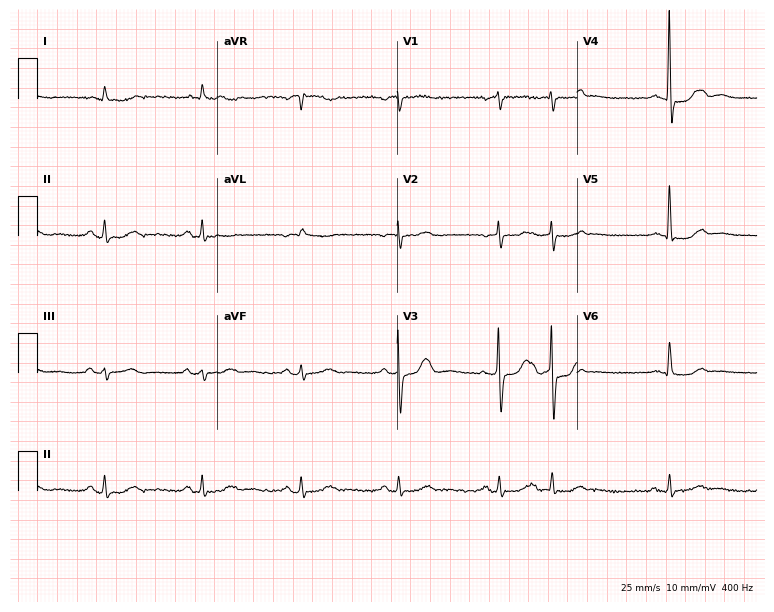
12-lead ECG from a male patient, 73 years old. Labelled as a normal ECG.